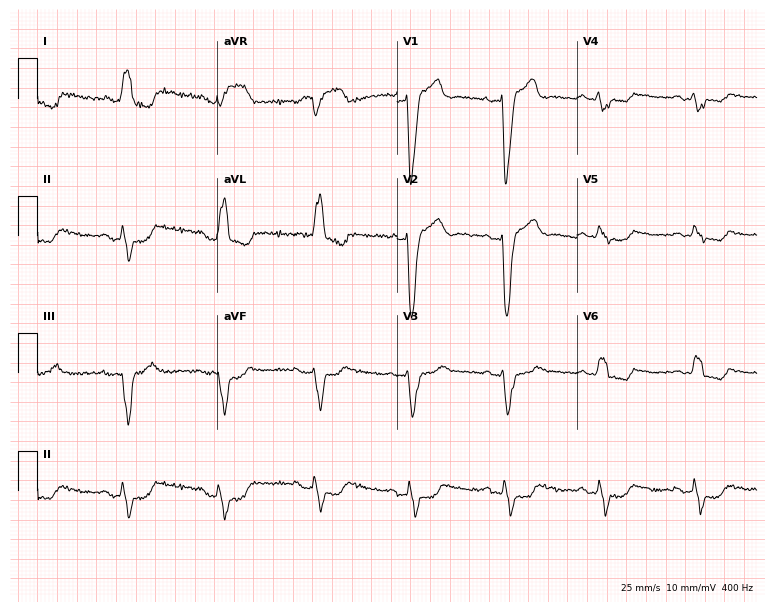
ECG — a 63-year-old male. Findings include left bundle branch block (LBBB).